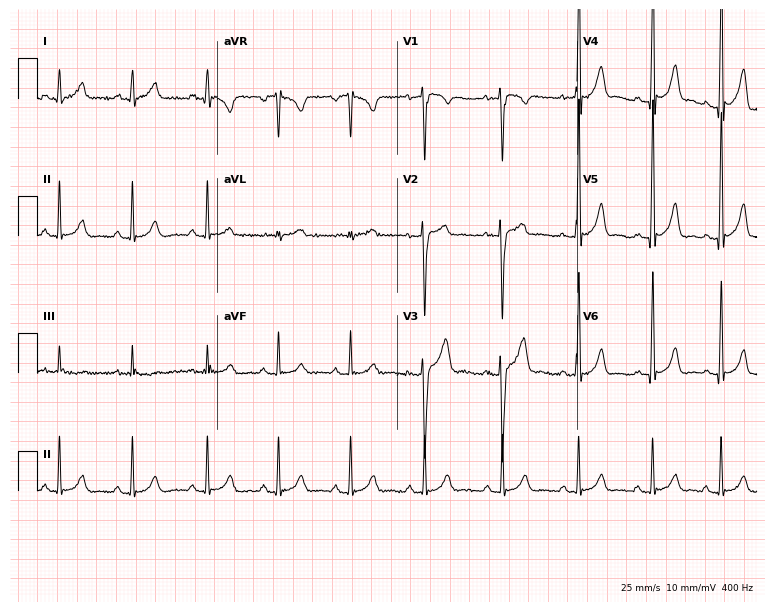
12-lead ECG from a 23-year-old male patient. Screened for six findings — first-degree AV block, right bundle branch block, left bundle branch block, sinus bradycardia, atrial fibrillation, sinus tachycardia — none is recorded. Findings outside these six are not listed.